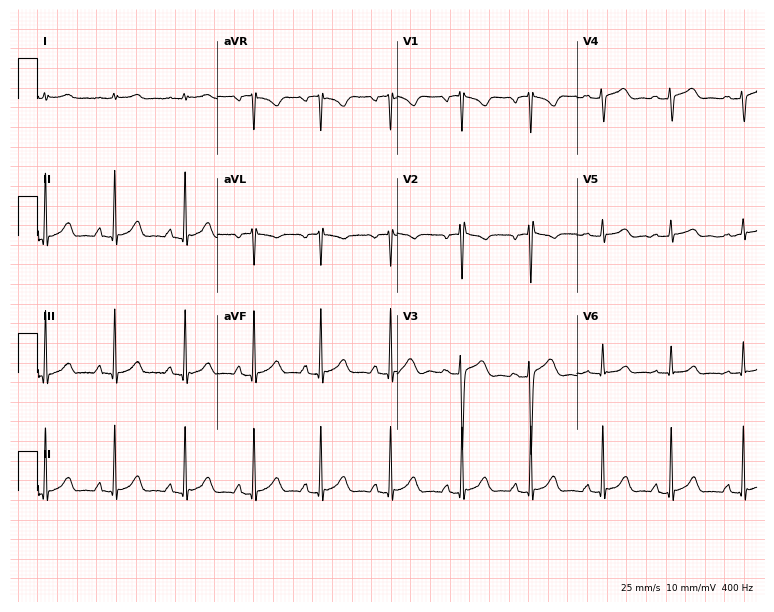
12-lead ECG from a male, 20 years old (7.3-second recording at 400 Hz). Recorded interpretation: within normal limits.